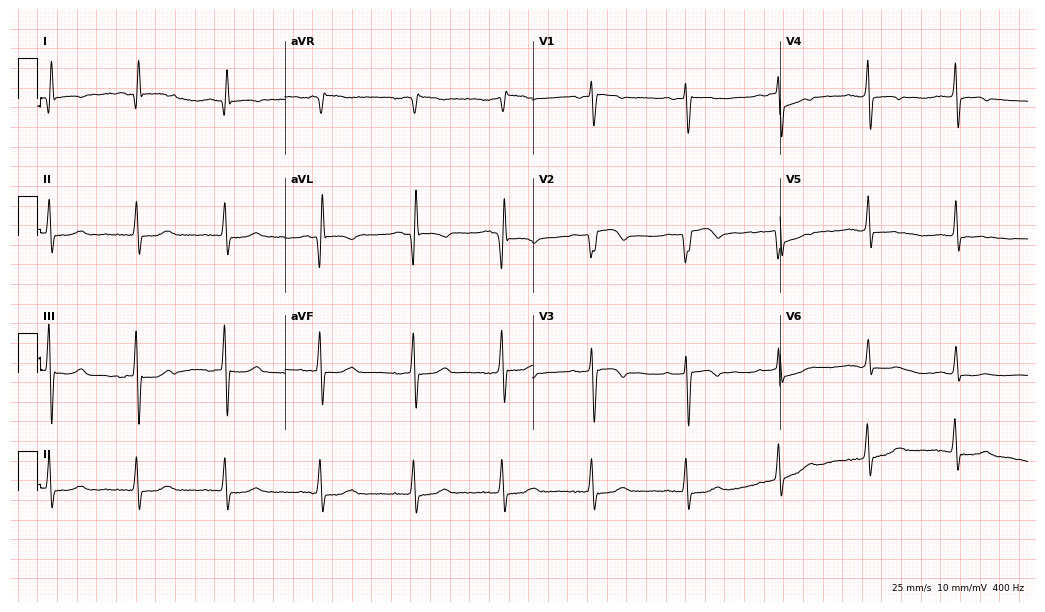
12-lead ECG (10.1-second recording at 400 Hz) from an 81-year-old man. Screened for six findings — first-degree AV block, right bundle branch block, left bundle branch block, sinus bradycardia, atrial fibrillation, sinus tachycardia — none is recorded. Findings outside these six are not listed.